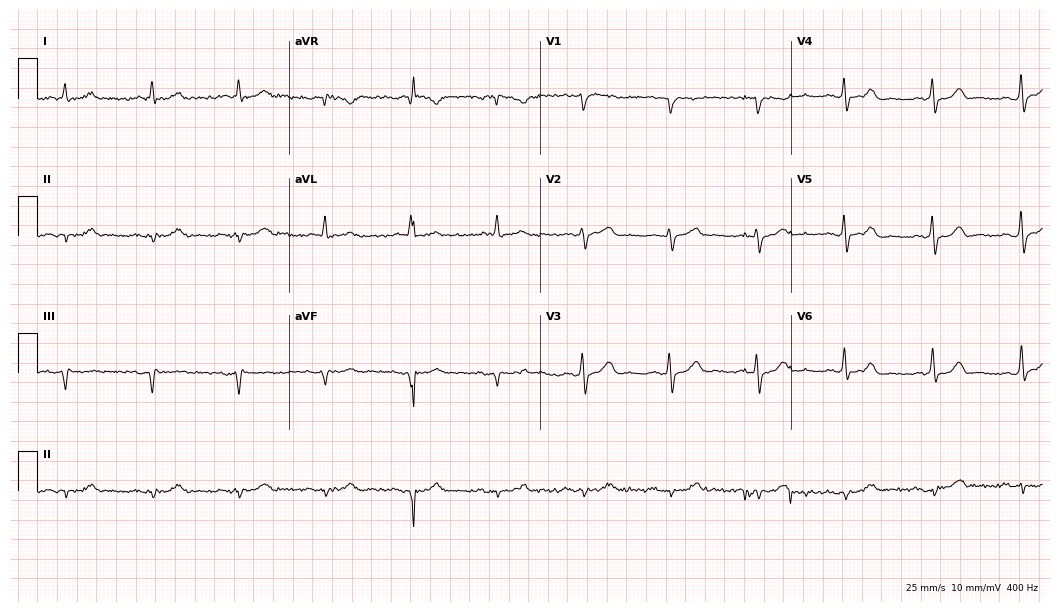
ECG — a man, 57 years old. Screened for six findings — first-degree AV block, right bundle branch block, left bundle branch block, sinus bradycardia, atrial fibrillation, sinus tachycardia — none is recorded. Findings outside these six are not listed.